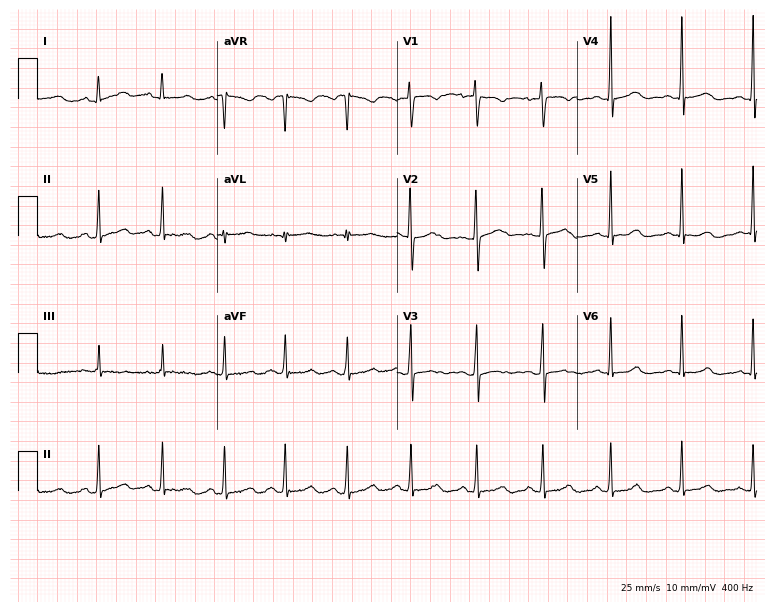
Standard 12-lead ECG recorded from a woman, 23 years old. Read as a normal ECG.